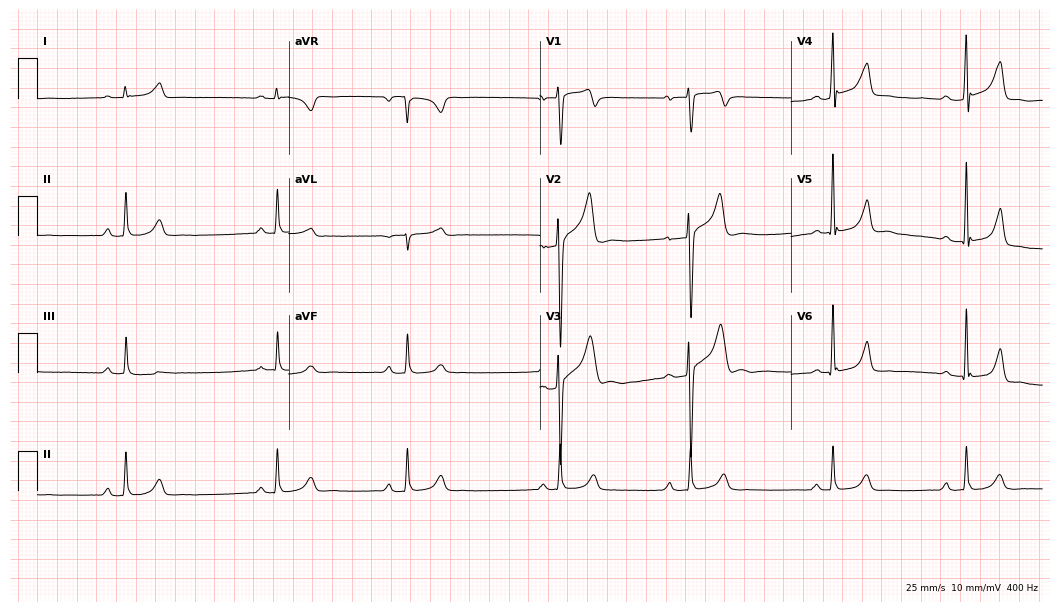
12-lead ECG from a 31-year-old male patient. Findings include first-degree AV block, sinus bradycardia (a sinus rate of 50 beats per minute or less).